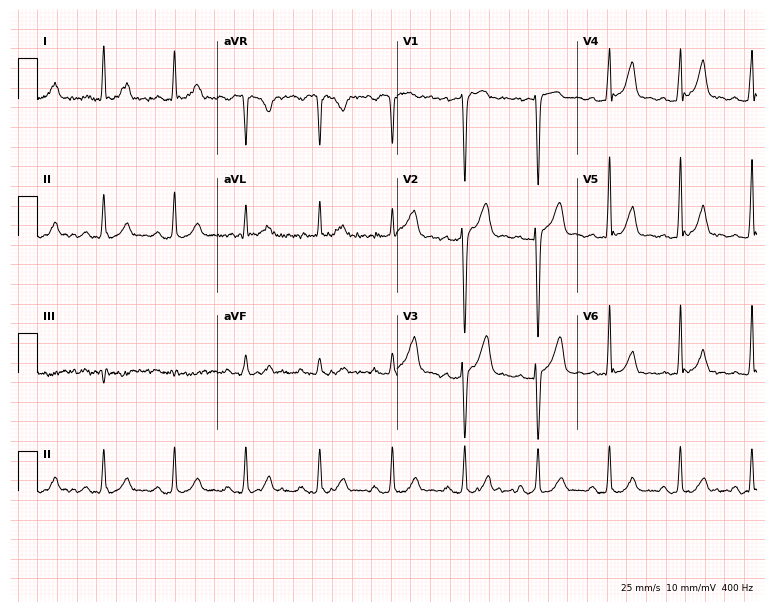
12-lead ECG from a 33-year-old male. No first-degree AV block, right bundle branch block, left bundle branch block, sinus bradycardia, atrial fibrillation or sinus tachycardia recorded for this tracing.